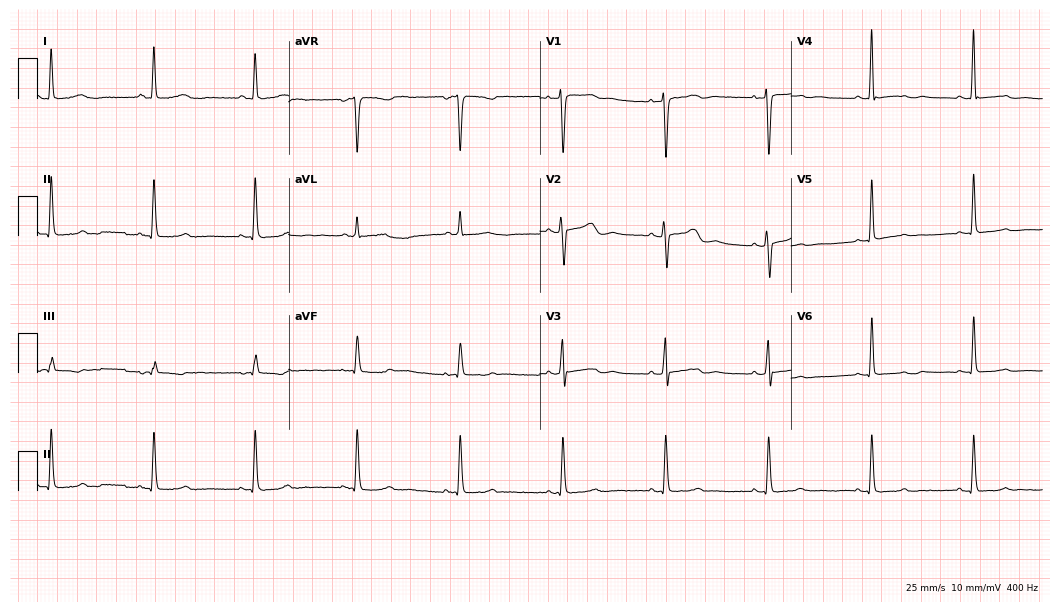
Standard 12-lead ECG recorded from a 58-year-old female (10.2-second recording at 400 Hz). Read as a normal ECG.